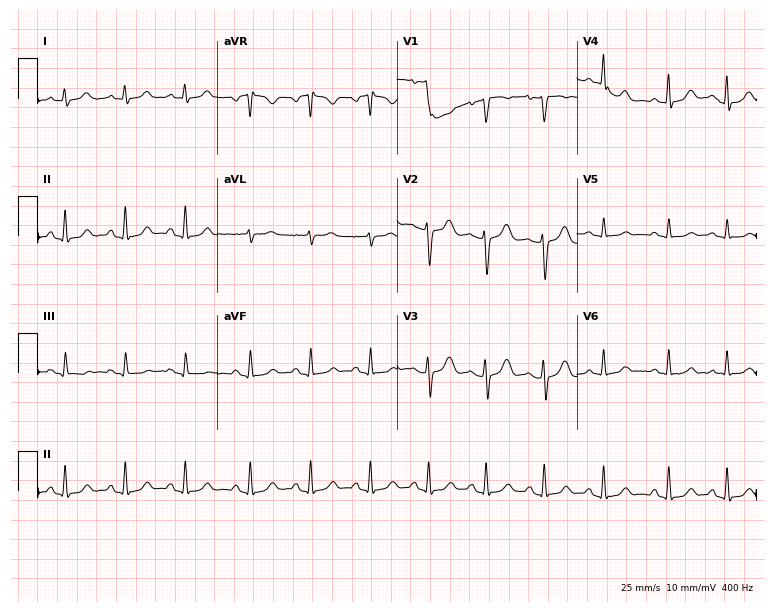
Standard 12-lead ECG recorded from a female, 29 years old. None of these six findings is recorded: first-degree AV block, right bundle branch block, left bundle branch block, sinus bradycardia, atrial fibrillation, sinus tachycardia. Only these six findings were labelled.